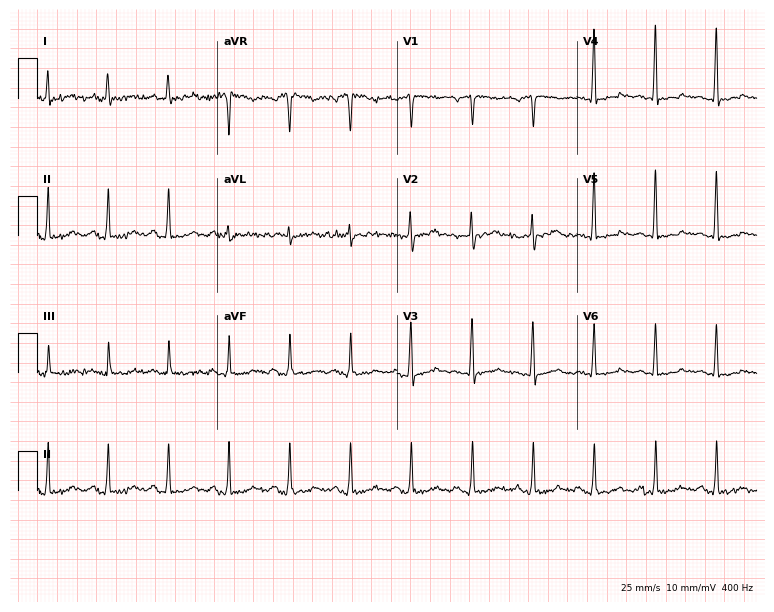
ECG (7.3-second recording at 400 Hz) — a 57-year-old male. Screened for six findings — first-degree AV block, right bundle branch block (RBBB), left bundle branch block (LBBB), sinus bradycardia, atrial fibrillation (AF), sinus tachycardia — none is recorded. Only these six findings were labelled.